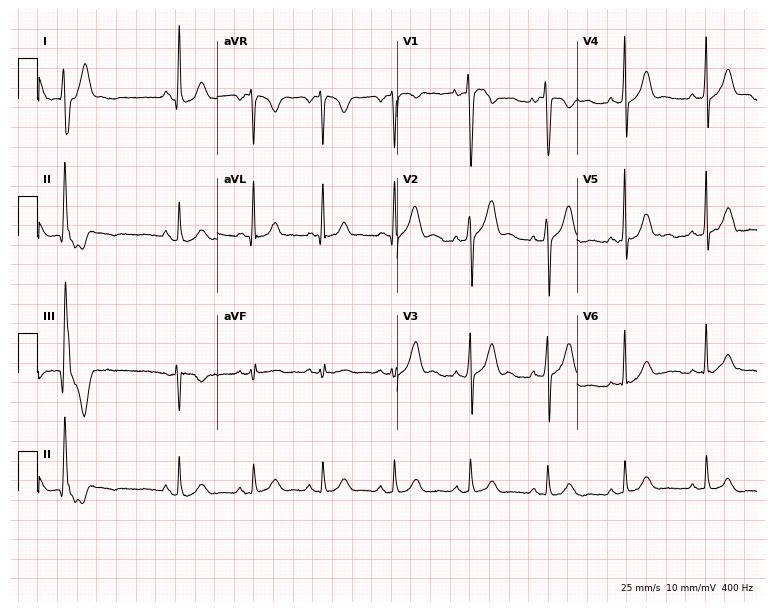
12-lead ECG from a male patient, 42 years old (7.3-second recording at 400 Hz). Recorded interpretation: within normal limits.